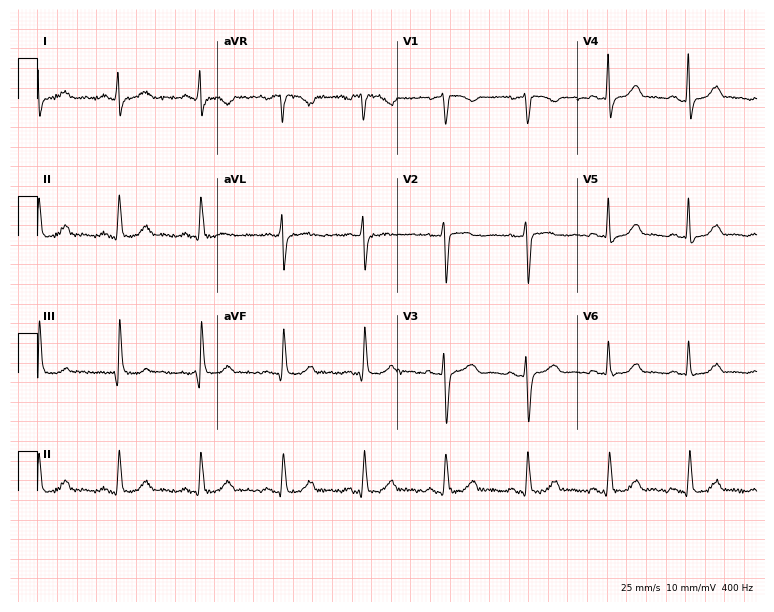
Electrocardiogram (7.3-second recording at 400 Hz), a woman, 46 years old. Of the six screened findings (first-degree AV block, right bundle branch block, left bundle branch block, sinus bradycardia, atrial fibrillation, sinus tachycardia), none is recorded.